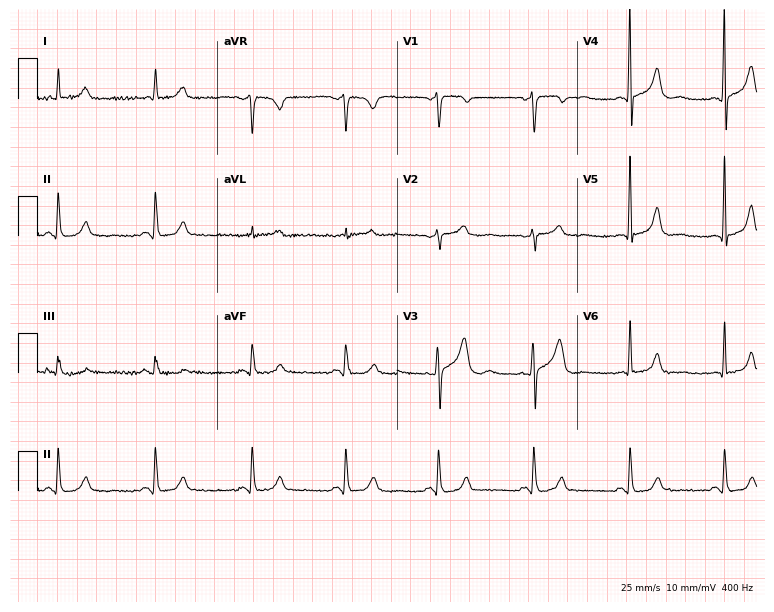
12-lead ECG (7.3-second recording at 400 Hz) from a male, 48 years old. Labelled as a normal ECG.